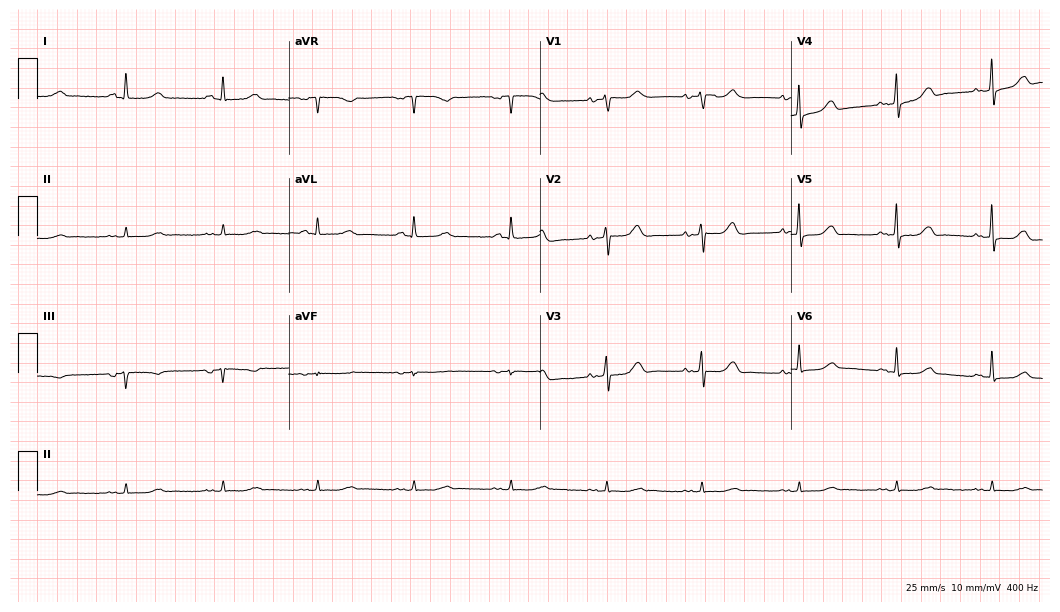
Electrocardiogram (10.2-second recording at 400 Hz), a female, 79 years old. Overall reading on record: normal ECG.